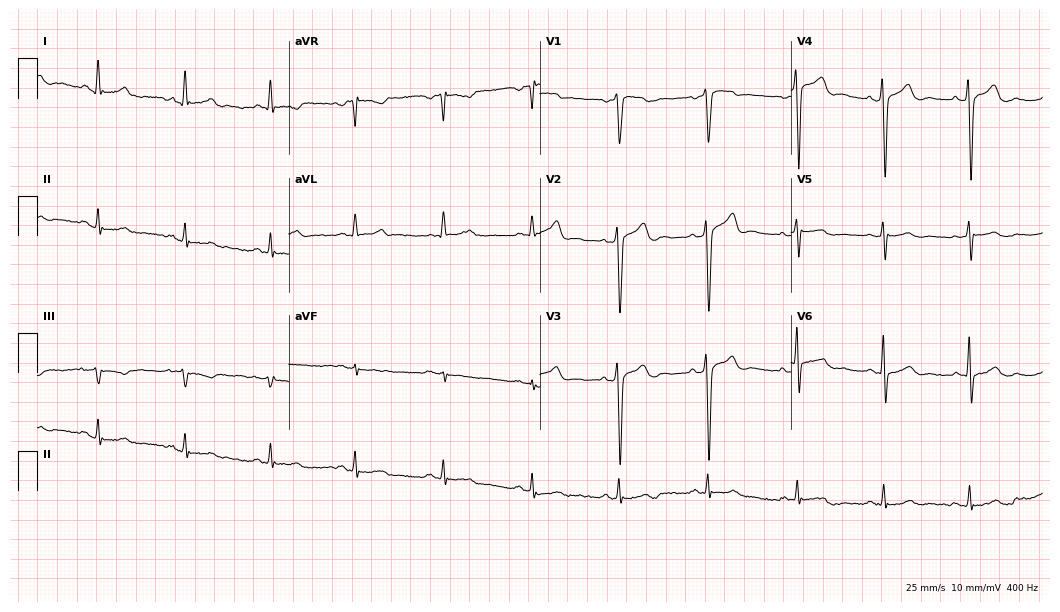
Electrocardiogram (10.2-second recording at 400 Hz), a male, 50 years old. Overall reading on record: normal ECG.